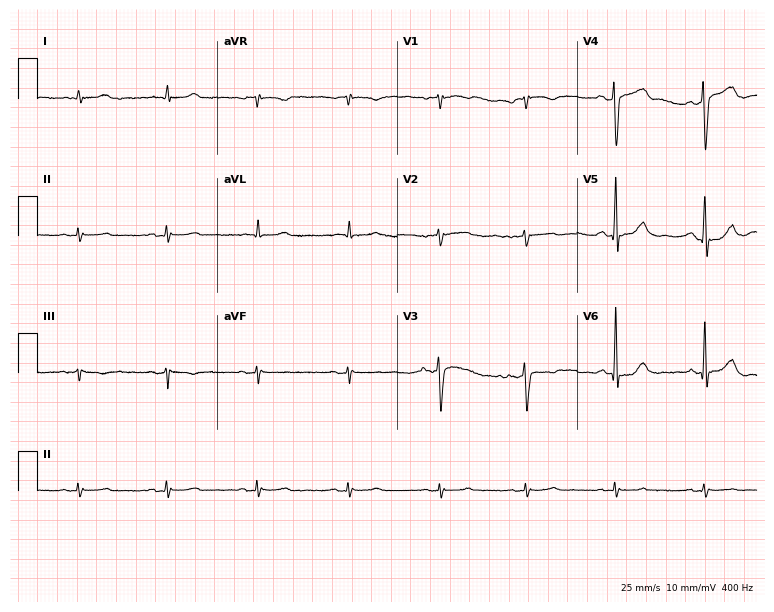
Standard 12-lead ECG recorded from an 85-year-old female patient (7.3-second recording at 400 Hz). None of these six findings is recorded: first-degree AV block, right bundle branch block, left bundle branch block, sinus bradycardia, atrial fibrillation, sinus tachycardia. Findings outside these six are not listed.